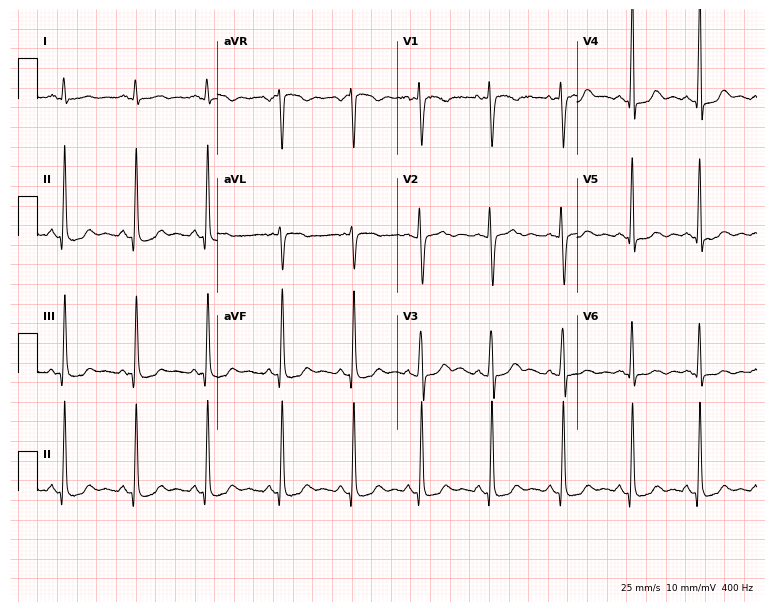
ECG — a woman, 26 years old. Screened for six findings — first-degree AV block, right bundle branch block (RBBB), left bundle branch block (LBBB), sinus bradycardia, atrial fibrillation (AF), sinus tachycardia — none is recorded. Only these six findings were labelled.